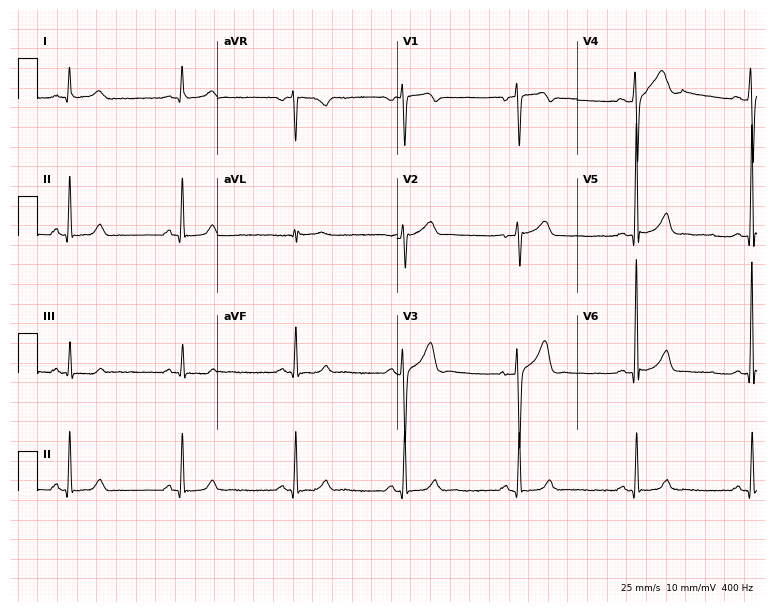
Standard 12-lead ECG recorded from a 55-year-old male (7.3-second recording at 400 Hz). None of these six findings is recorded: first-degree AV block, right bundle branch block, left bundle branch block, sinus bradycardia, atrial fibrillation, sinus tachycardia.